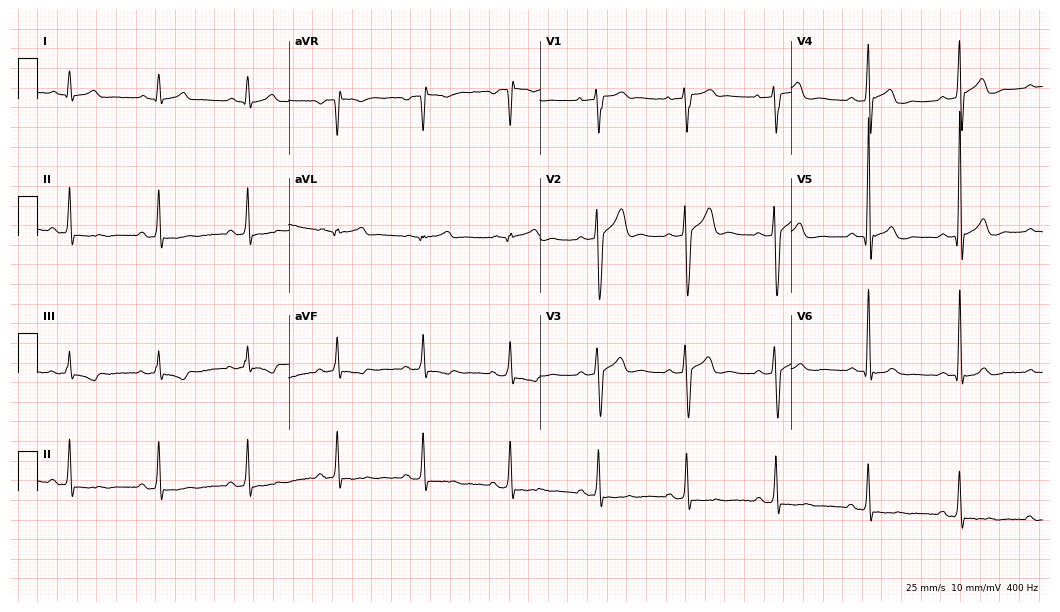
Electrocardiogram (10.2-second recording at 400 Hz), a man, 51 years old. Of the six screened findings (first-degree AV block, right bundle branch block (RBBB), left bundle branch block (LBBB), sinus bradycardia, atrial fibrillation (AF), sinus tachycardia), none is recorded. Other findings, if any, are not listed.